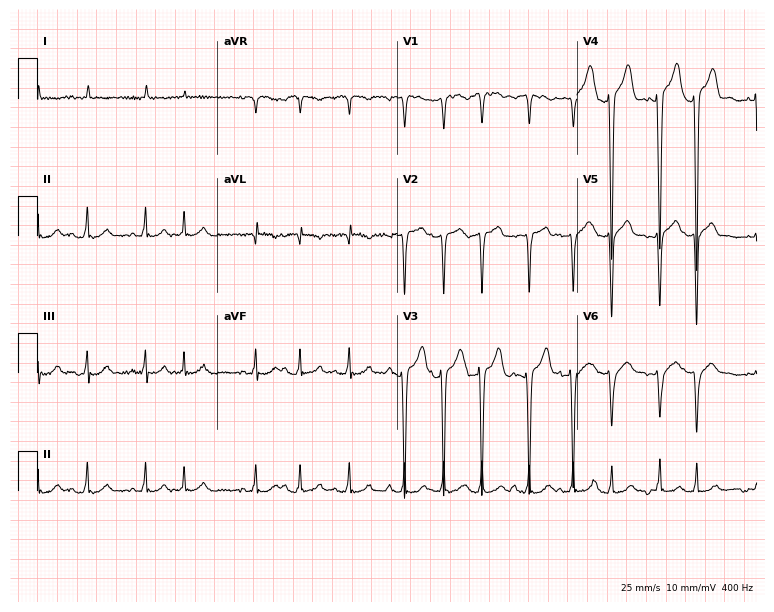
Electrocardiogram, an 85-year-old male. Interpretation includes atrial fibrillation (AF).